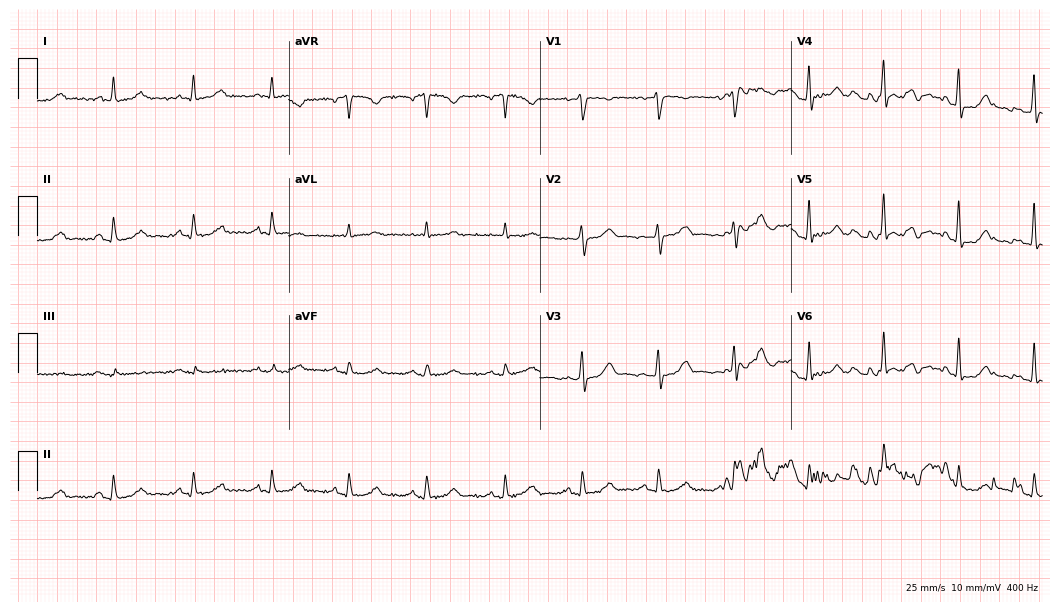
Electrocardiogram (10.2-second recording at 400 Hz), a female, 43 years old. Overall reading on record: normal ECG.